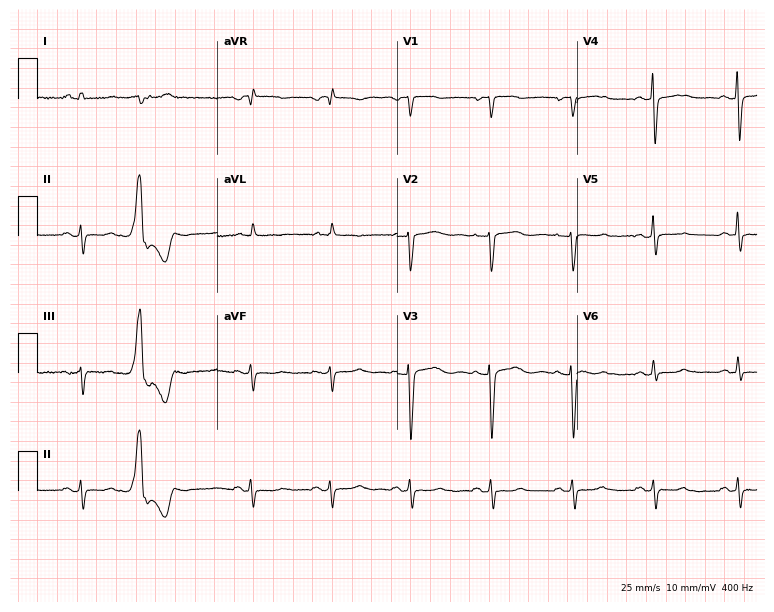
Electrocardiogram (7.3-second recording at 400 Hz), a 46-year-old female. Of the six screened findings (first-degree AV block, right bundle branch block (RBBB), left bundle branch block (LBBB), sinus bradycardia, atrial fibrillation (AF), sinus tachycardia), none is recorded.